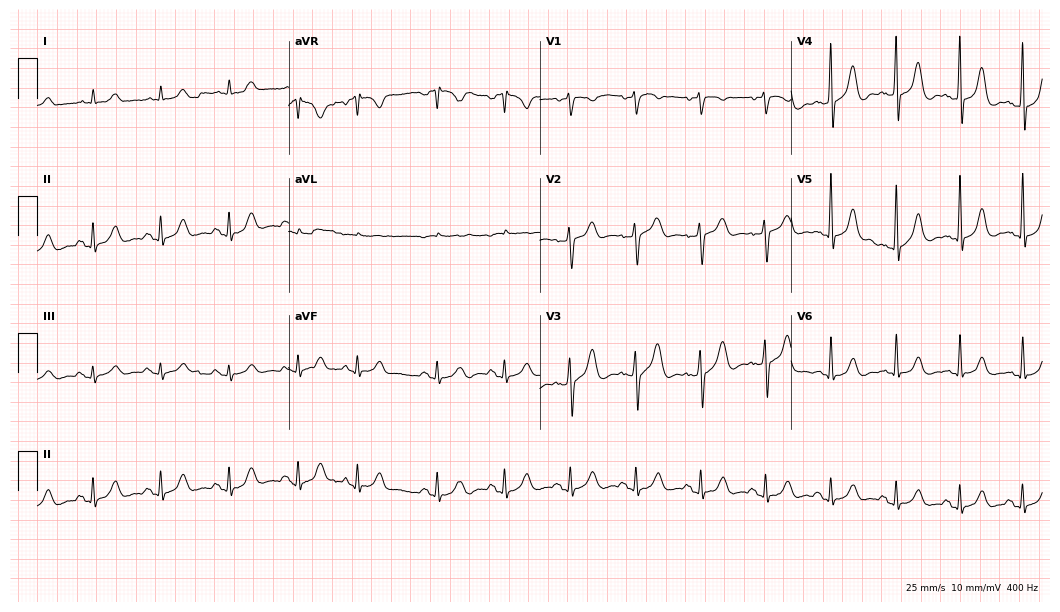
12-lead ECG (10.2-second recording at 400 Hz) from an 83-year-old man. Labelled as a normal ECG.